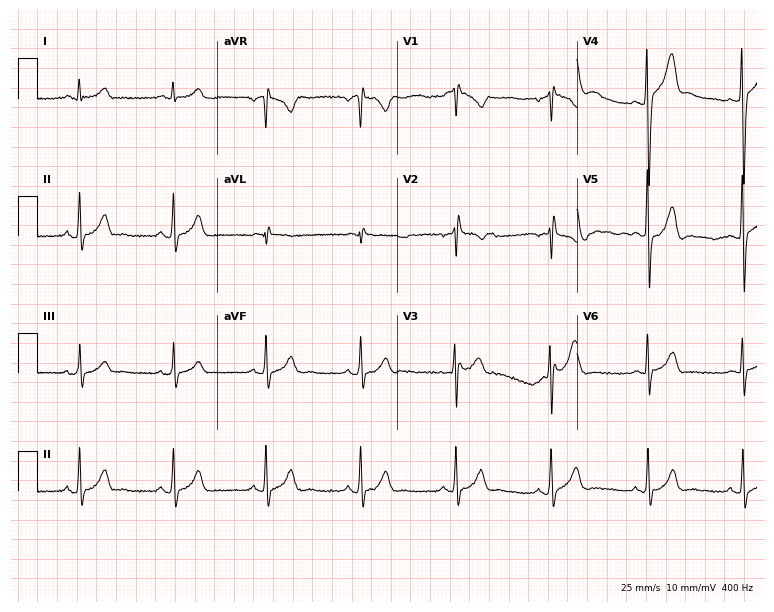
ECG (7.3-second recording at 400 Hz) — a 32-year-old man. Labelled as a normal ECG.